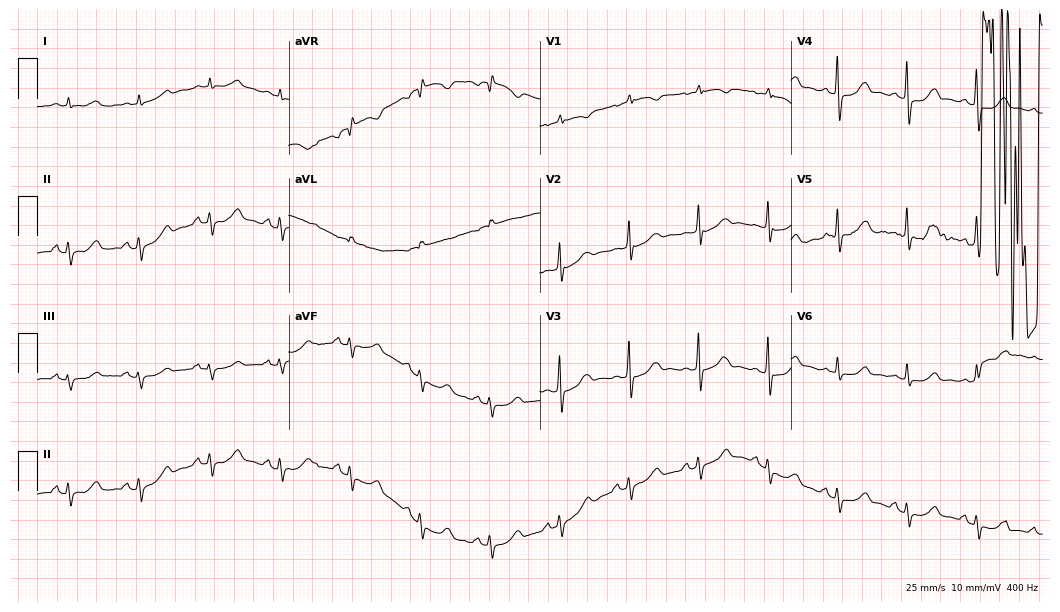
Electrocardiogram, a 79-year-old female patient. Of the six screened findings (first-degree AV block, right bundle branch block, left bundle branch block, sinus bradycardia, atrial fibrillation, sinus tachycardia), none is recorded. Findings outside these six are not listed.